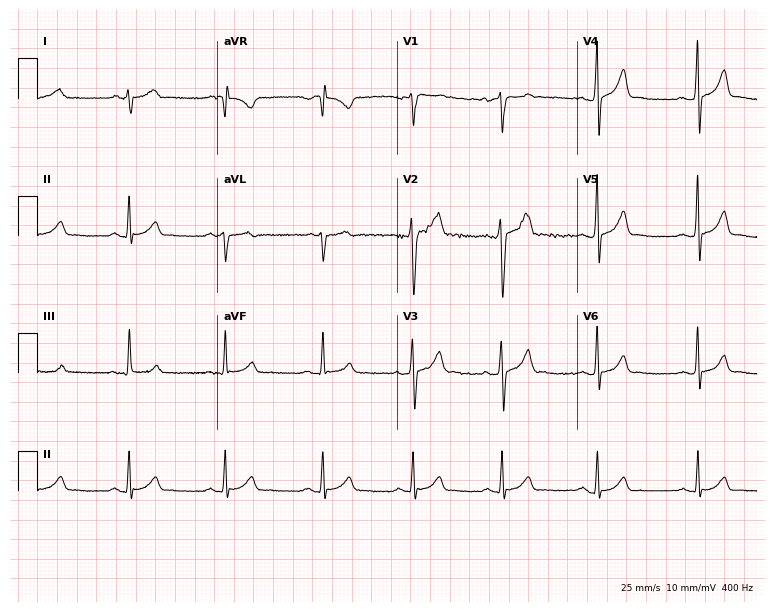
12-lead ECG (7.3-second recording at 400 Hz) from a 26-year-old male. Labelled as a normal ECG.